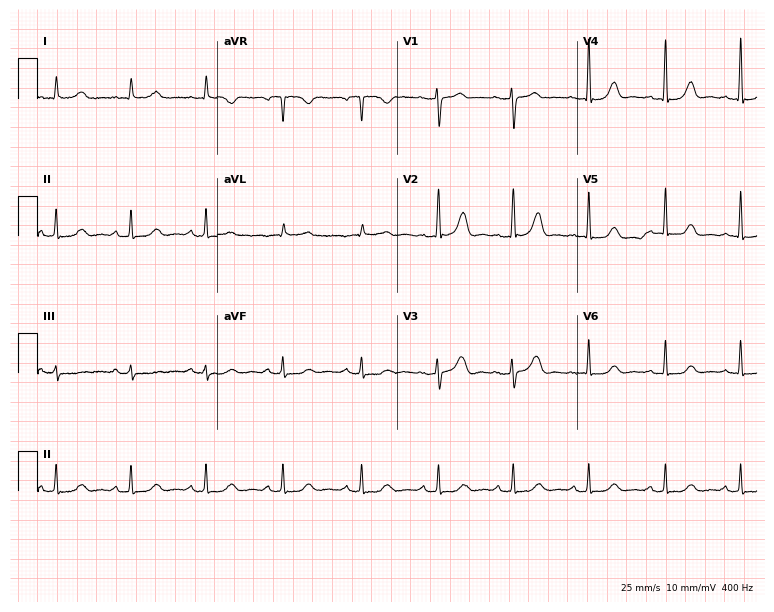
12-lead ECG from a 61-year-old woman. Recorded interpretation: within normal limits.